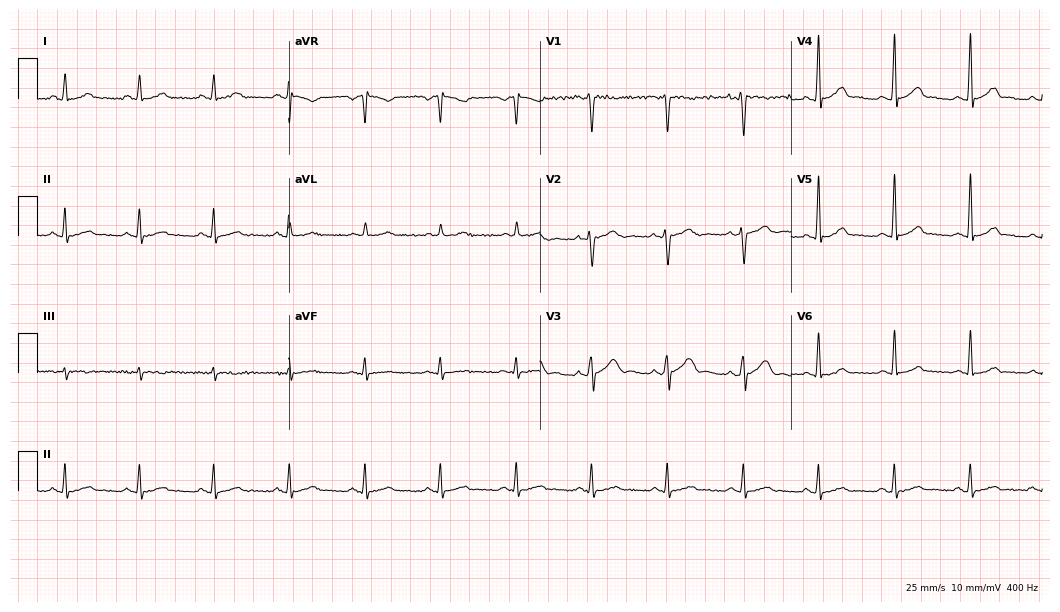
ECG — a 37-year-old male. Labelled as a normal ECG.